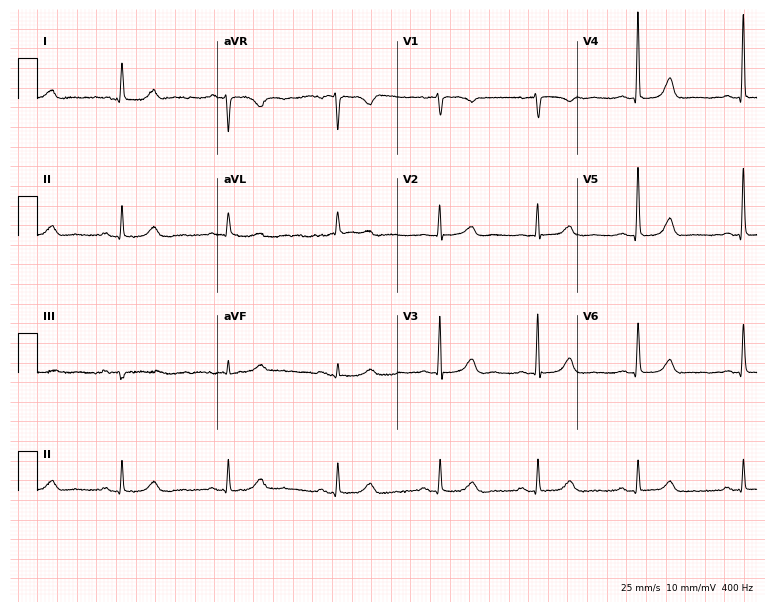
ECG — a woman, 79 years old. Labelled as a normal ECG.